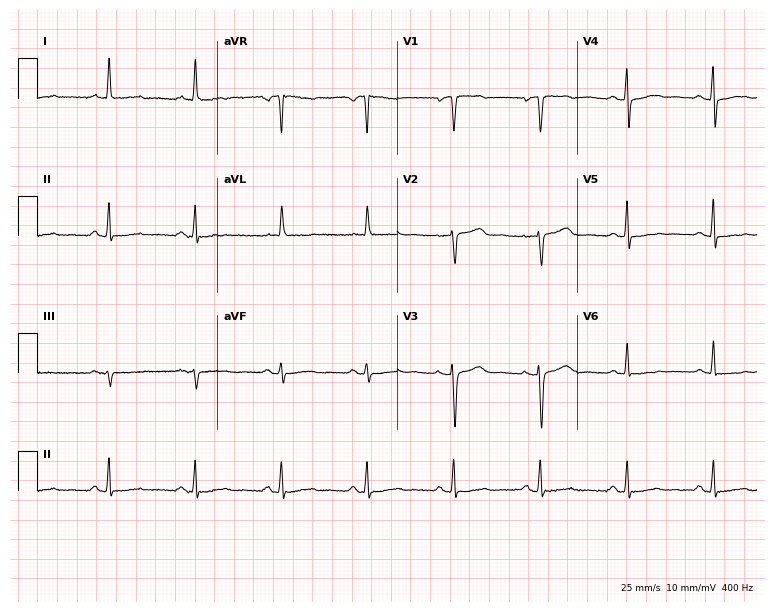
12-lead ECG (7.3-second recording at 400 Hz) from a female, 55 years old. Screened for six findings — first-degree AV block, right bundle branch block, left bundle branch block, sinus bradycardia, atrial fibrillation, sinus tachycardia — none is recorded. Only these six findings were labelled.